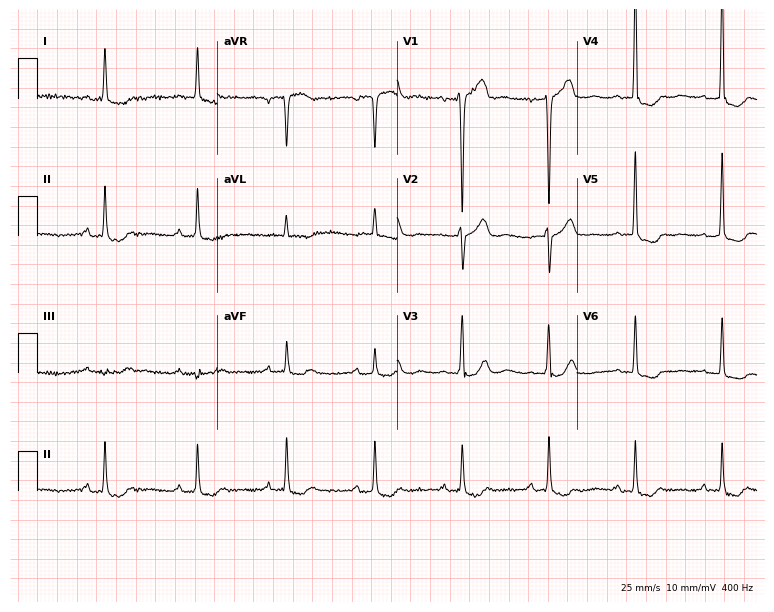
12-lead ECG from a woman, 82 years old (7.3-second recording at 400 Hz). No first-degree AV block, right bundle branch block, left bundle branch block, sinus bradycardia, atrial fibrillation or sinus tachycardia recorded for this tracing. Other findings, if any, are not listed.